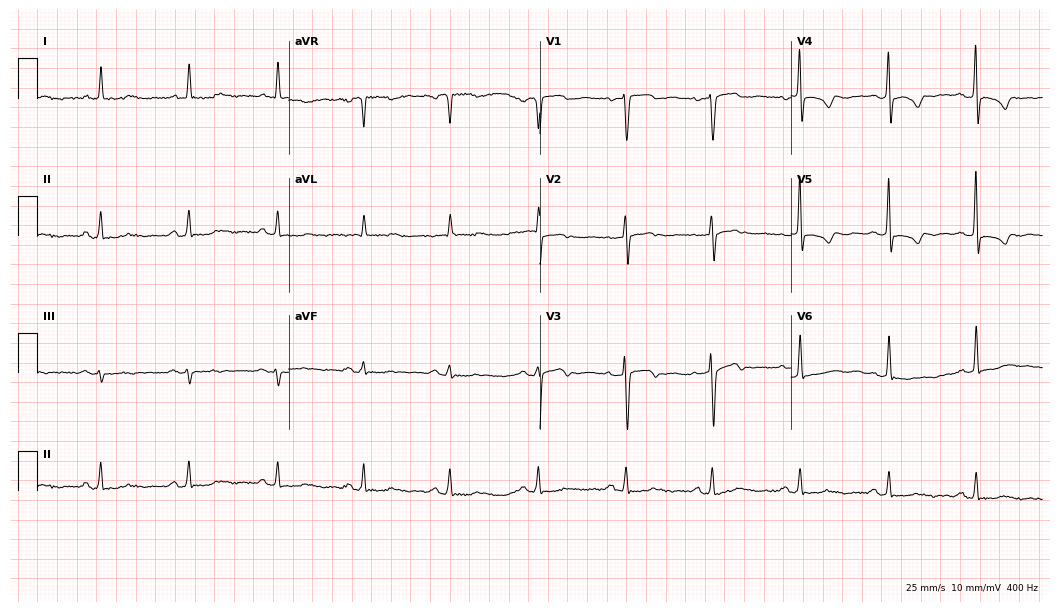
Standard 12-lead ECG recorded from a woman, 71 years old. None of these six findings is recorded: first-degree AV block, right bundle branch block (RBBB), left bundle branch block (LBBB), sinus bradycardia, atrial fibrillation (AF), sinus tachycardia. Other findings, if any, are not listed.